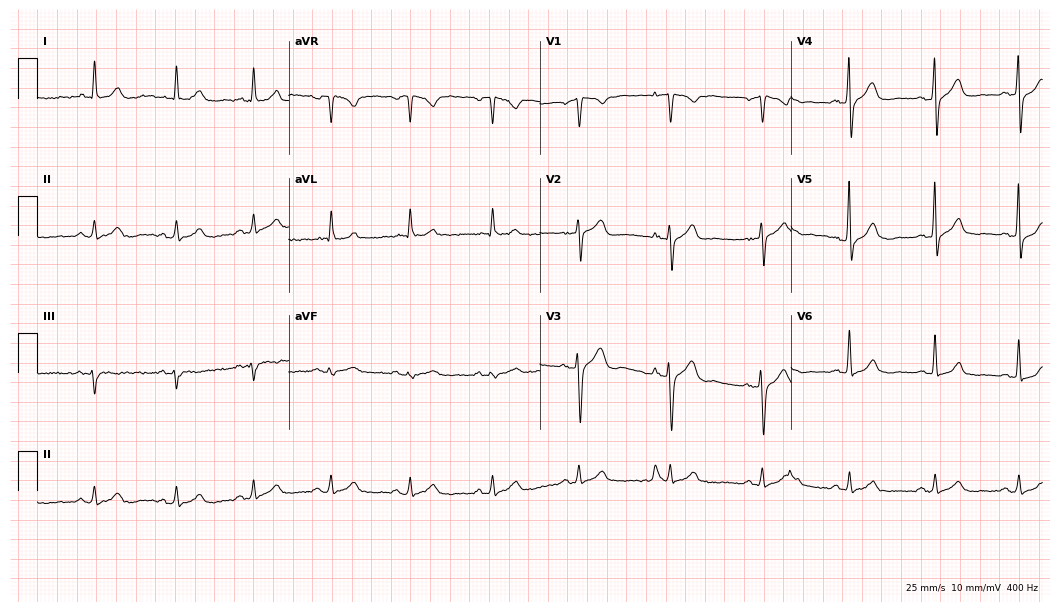
Resting 12-lead electrocardiogram. Patient: a 60-year-old man. Read as a normal ECG.